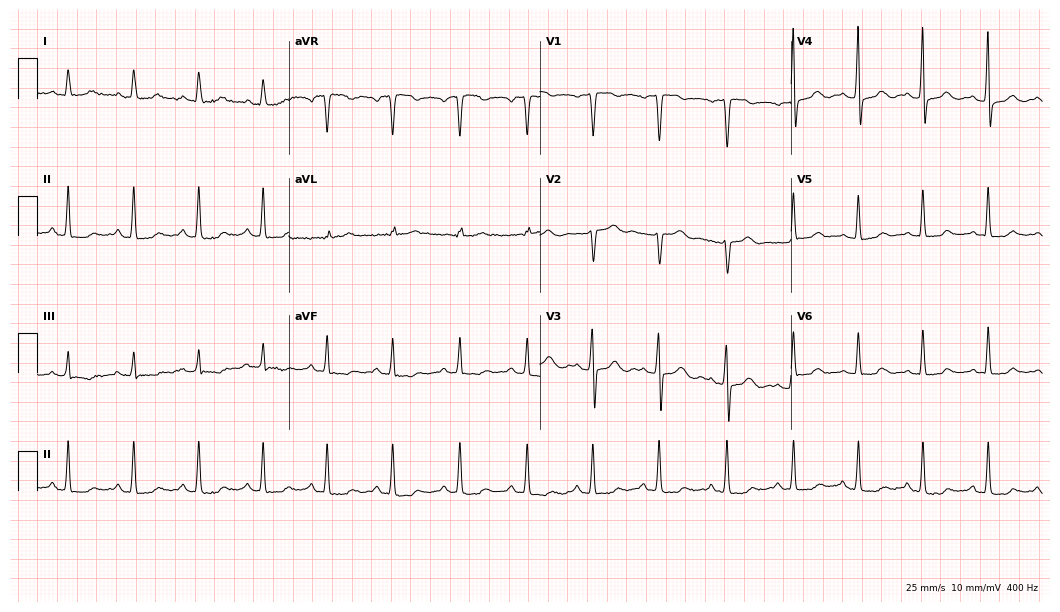
12-lead ECG (10.2-second recording at 400 Hz) from a female patient, 33 years old. Screened for six findings — first-degree AV block, right bundle branch block, left bundle branch block, sinus bradycardia, atrial fibrillation, sinus tachycardia — none is recorded. Other findings, if any, are not listed.